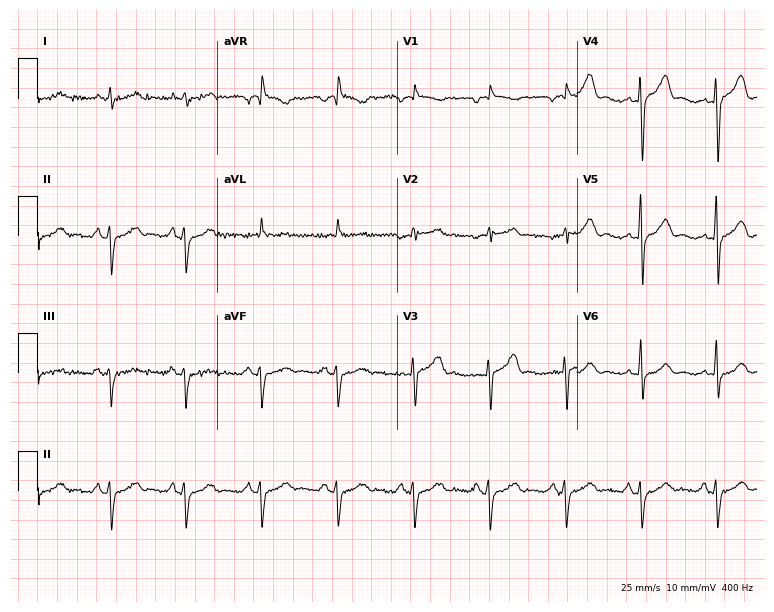
ECG (7.3-second recording at 400 Hz) — a 70-year-old man. Screened for six findings — first-degree AV block, right bundle branch block (RBBB), left bundle branch block (LBBB), sinus bradycardia, atrial fibrillation (AF), sinus tachycardia — none is recorded. Only these six findings were labelled.